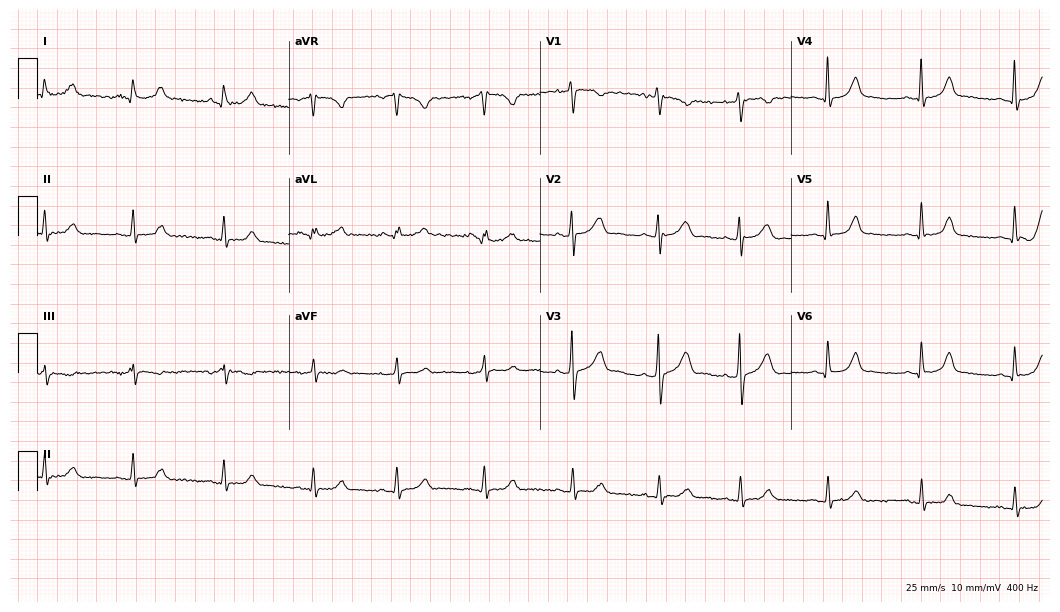
Resting 12-lead electrocardiogram (10.2-second recording at 400 Hz). Patient: a woman, 51 years old. Read as a normal ECG.